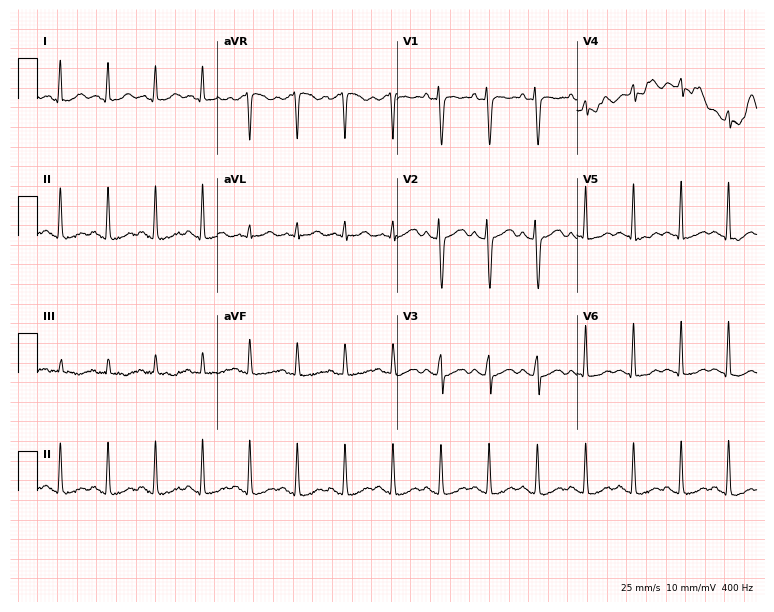
Electrocardiogram, a woman, 31 years old. Of the six screened findings (first-degree AV block, right bundle branch block (RBBB), left bundle branch block (LBBB), sinus bradycardia, atrial fibrillation (AF), sinus tachycardia), none is recorded. Only these six findings were labelled.